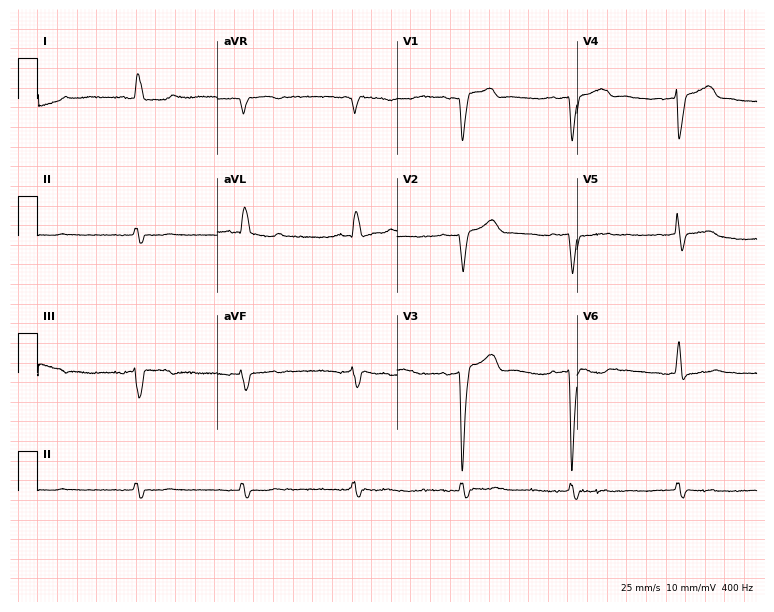
Electrocardiogram, an 83-year-old man. Of the six screened findings (first-degree AV block, right bundle branch block (RBBB), left bundle branch block (LBBB), sinus bradycardia, atrial fibrillation (AF), sinus tachycardia), none is recorded. Only these six findings were labelled.